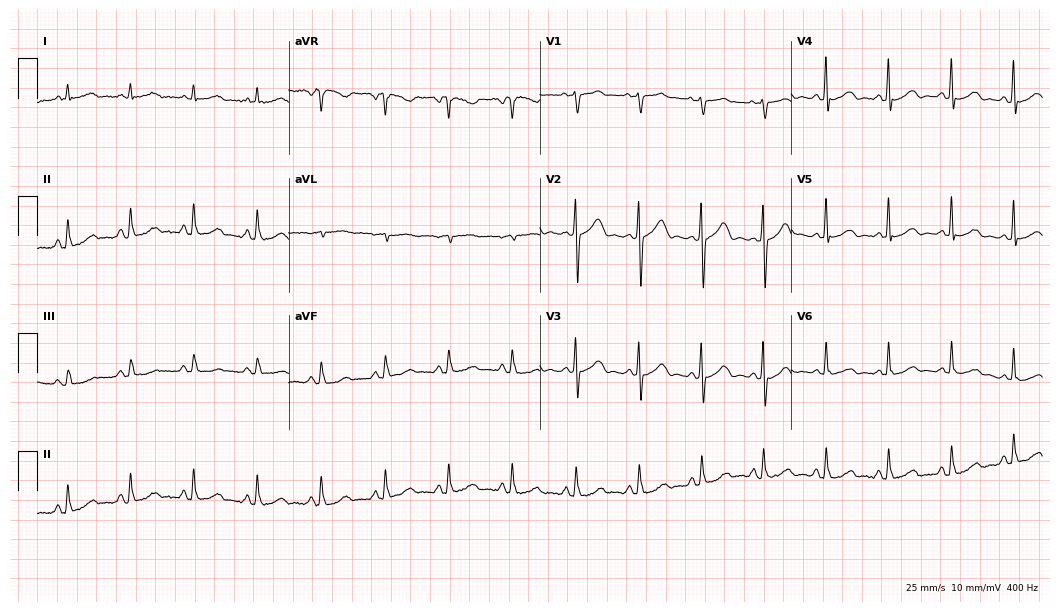
12-lead ECG from a 61-year-old man (10.2-second recording at 400 Hz). Recorded interpretation: within normal limits.